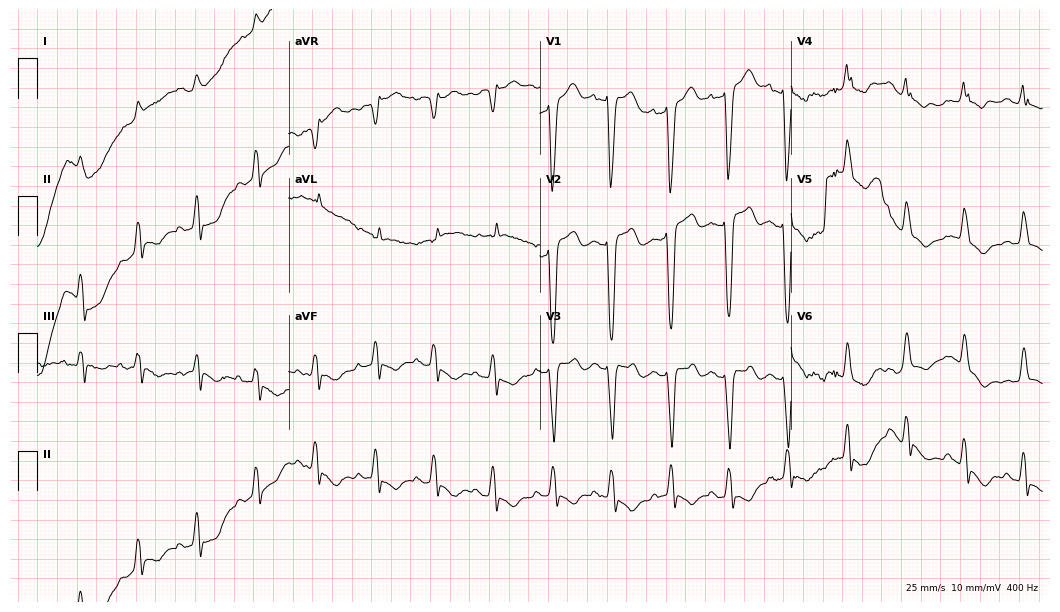
12-lead ECG from a female patient, 85 years old. Shows left bundle branch block (LBBB).